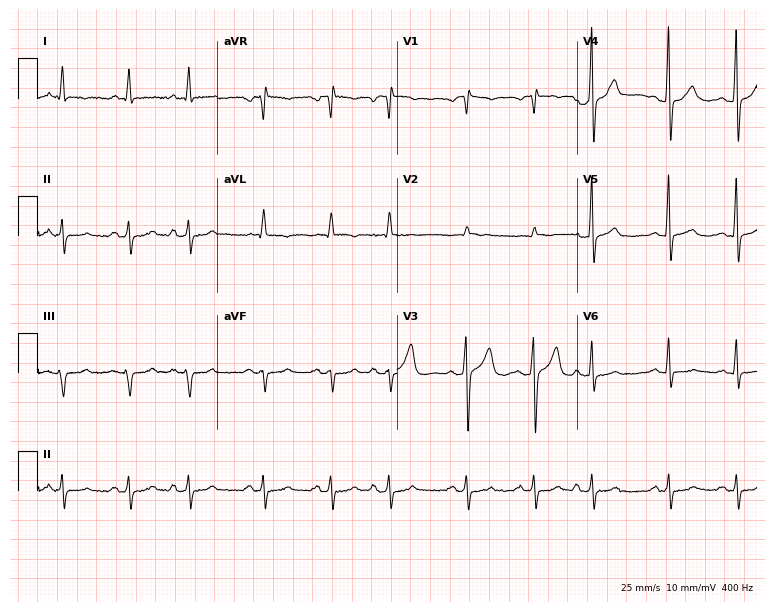
12-lead ECG (7.3-second recording at 400 Hz) from a 62-year-old man. Screened for six findings — first-degree AV block, right bundle branch block, left bundle branch block, sinus bradycardia, atrial fibrillation, sinus tachycardia — none is recorded. Only these six findings were labelled.